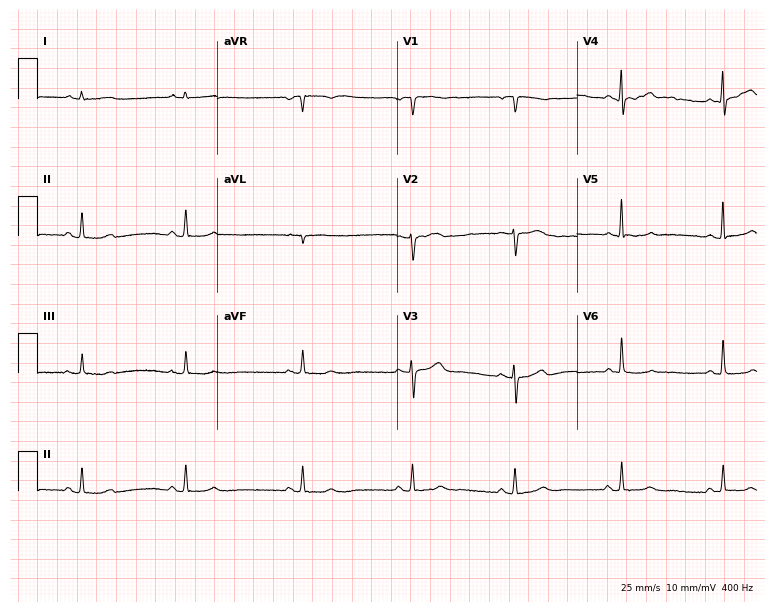
Resting 12-lead electrocardiogram. Patient: a woman, 68 years old. None of these six findings is recorded: first-degree AV block, right bundle branch block (RBBB), left bundle branch block (LBBB), sinus bradycardia, atrial fibrillation (AF), sinus tachycardia. Findings outside these six are not listed.